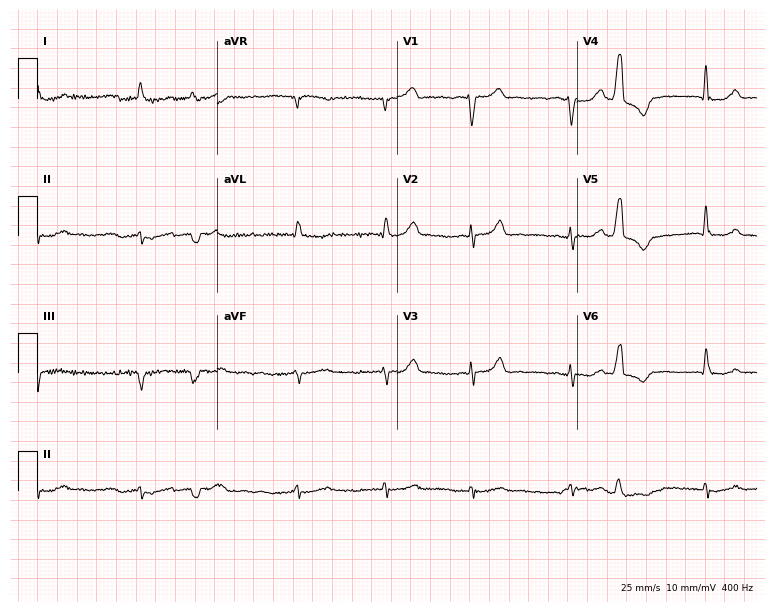
12-lead ECG (7.3-second recording at 400 Hz) from an 82-year-old male patient. Findings include atrial fibrillation.